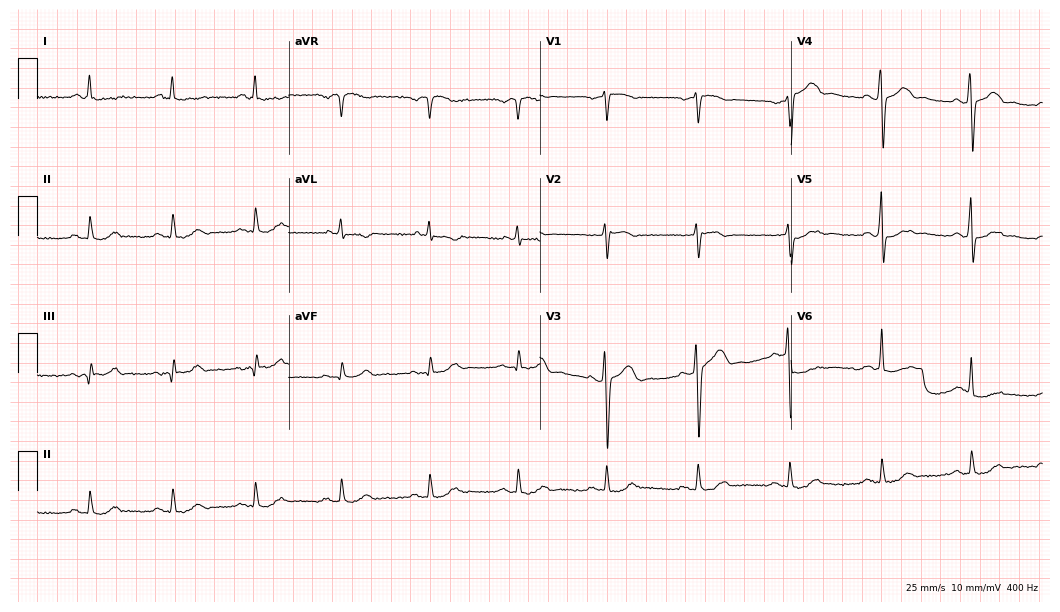
12-lead ECG from a 66-year-old male patient. No first-degree AV block, right bundle branch block (RBBB), left bundle branch block (LBBB), sinus bradycardia, atrial fibrillation (AF) or sinus tachycardia recorded for this tracing.